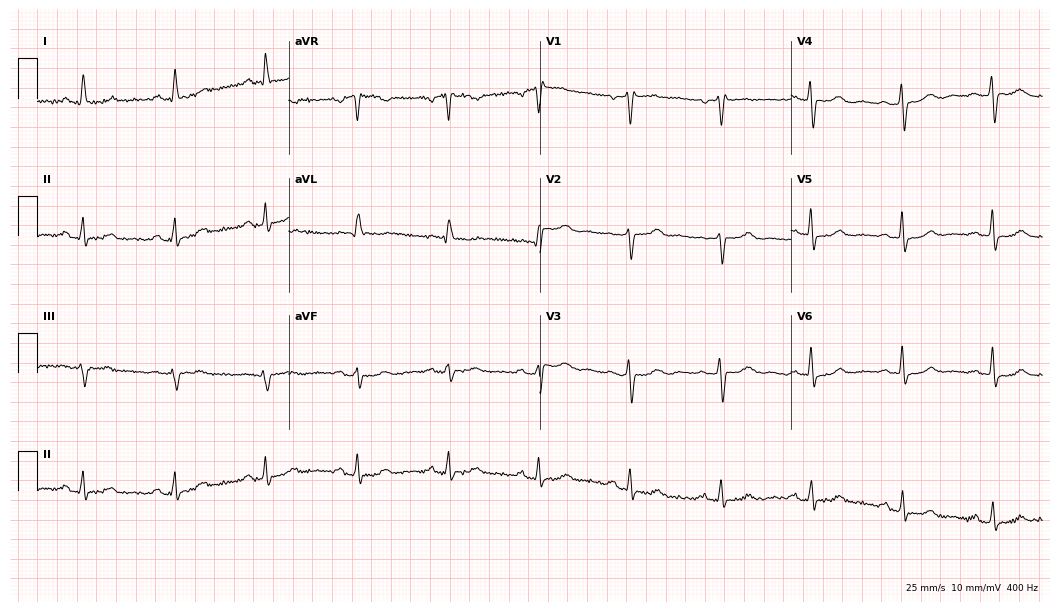
ECG (10.2-second recording at 400 Hz) — a female patient, 59 years old. Screened for six findings — first-degree AV block, right bundle branch block, left bundle branch block, sinus bradycardia, atrial fibrillation, sinus tachycardia — none is recorded. Only these six findings were labelled.